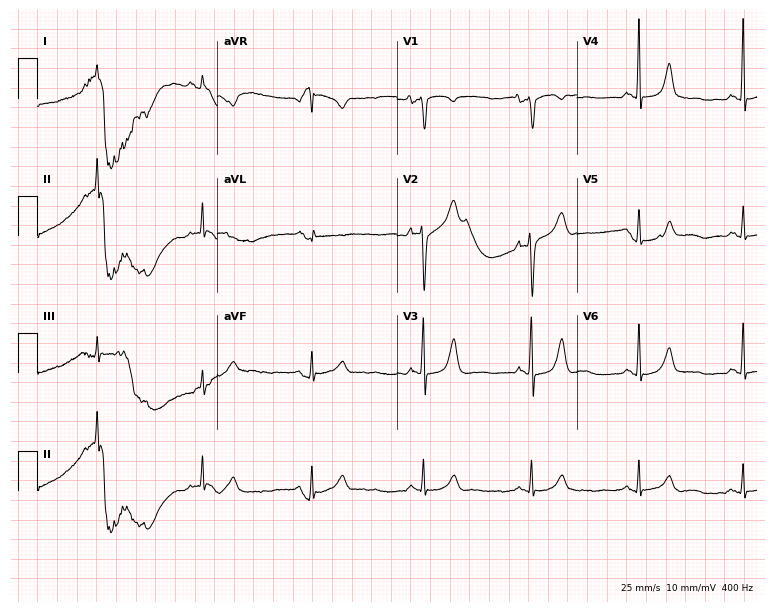
ECG — a 25-year-old female patient. Screened for six findings — first-degree AV block, right bundle branch block, left bundle branch block, sinus bradycardia, atrial fibrillation, sinus tachycardia — none is recorded. Findings outside these six are not listed.